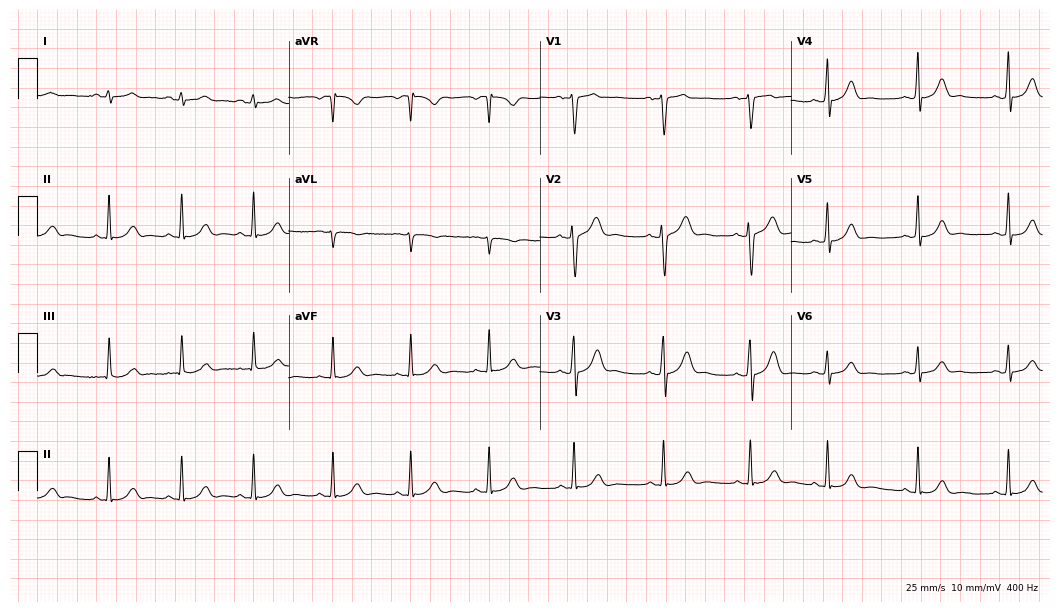
Standard 12-lead ECG recorded from a female, 20 years old (10.2-second recording at 400 Hz). Read as a normal ECG.